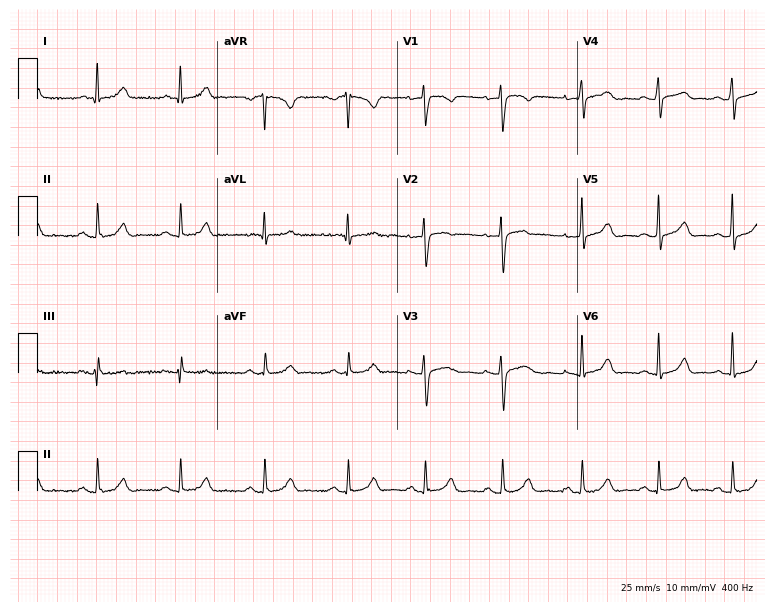
Standard 12-lead ECG recorded from a 36-year-old female patient (7.3-second recording at 400 Hz). Read as a normal ECG.